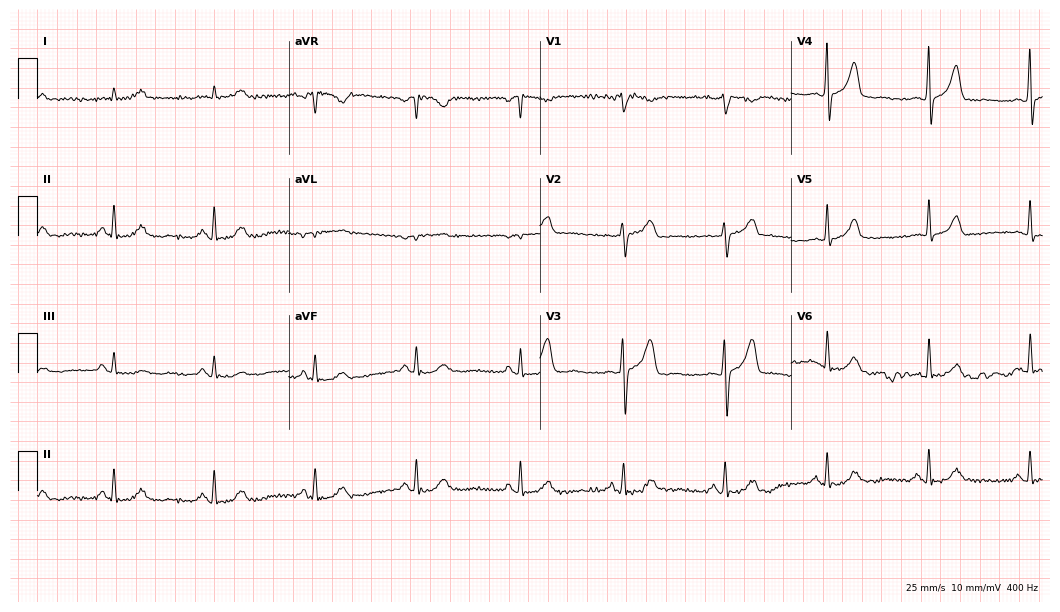
Resting 12-lead electrocardiogram (10.2-second recording at 400 Hz). Patient: a male, 78 years old. Read as a normal ECG.